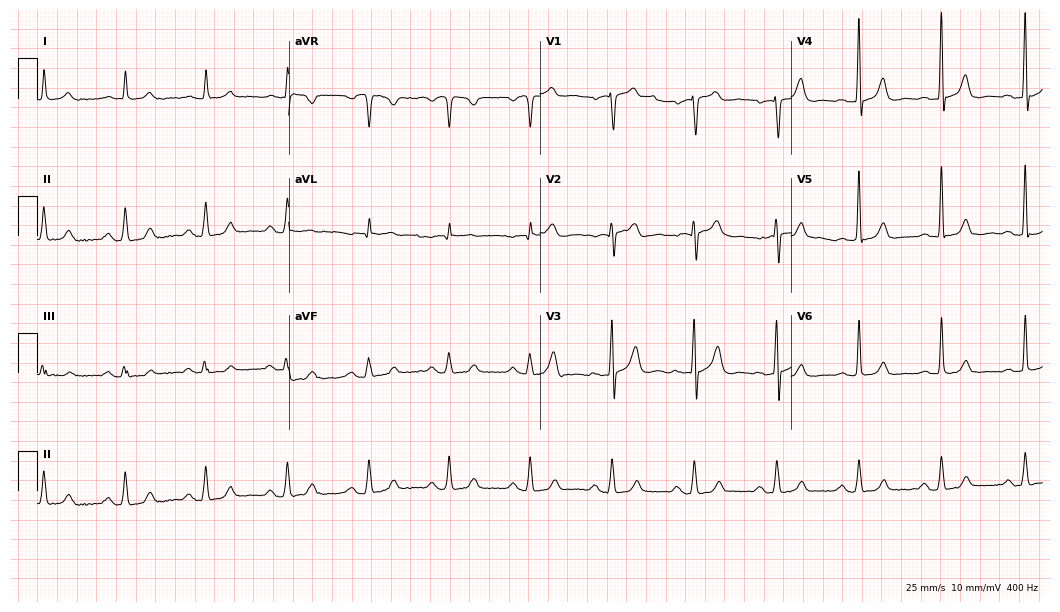
Resting 12-lead electrocardiogram (10.2-second recording at 400 Hz). Patient: an 83-year-old male. None of these six findings is recorded: first-degree AV block, right bundle branch block, left bundle branch block, sinus bradycardia, atrial fibrillation, sinus tachycardia. Other findings, if any, are not listed.